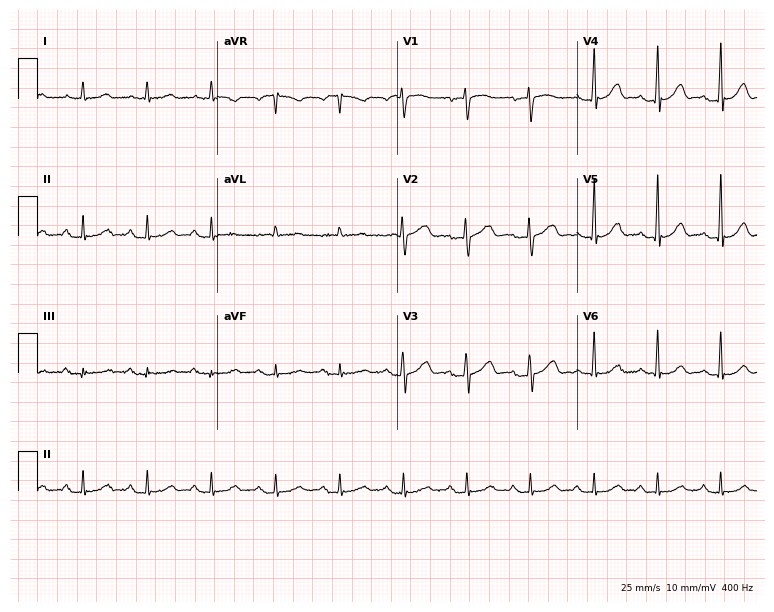
Resting 12-lead electrocardiogram (7.3-second recording at 400 Hz). Patient: a 69-year-old female. Read as a normal ECG.